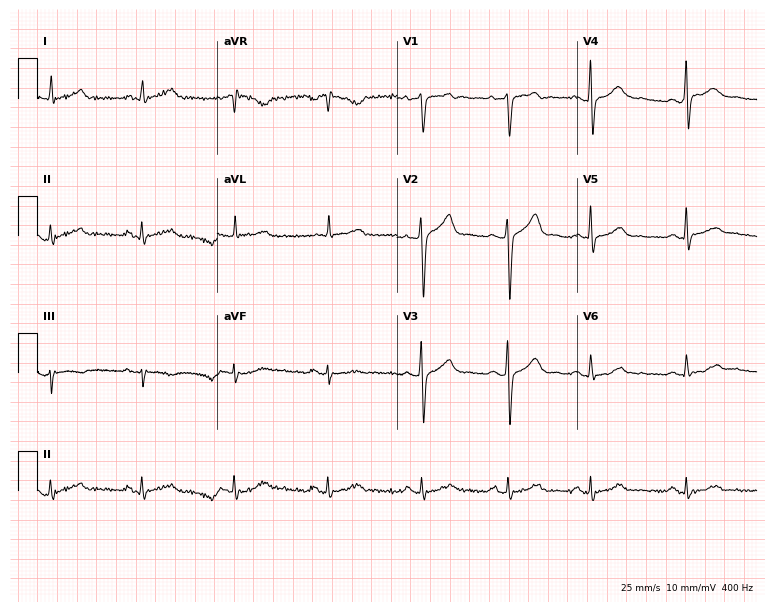
Electrocardiogram (7.3-second recording at 400 Hz), a 50-year-old man. Overall reading on record: normal ECG.